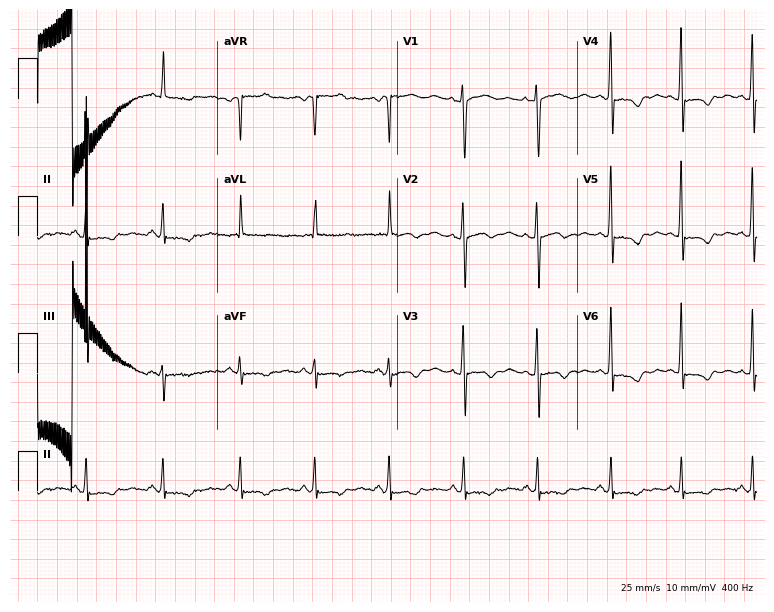
Resting 12-lead electrocardiogram (7.3-second recording at 400 Hz). Patient: a 51-year-old female. None of these six findings is recorded: first-degree AV block, right bundle branch block (RBBB), left bundle branch block (LBBB), sinus bradycardia, atrial fibrillation (AF), sinus tachycardia.